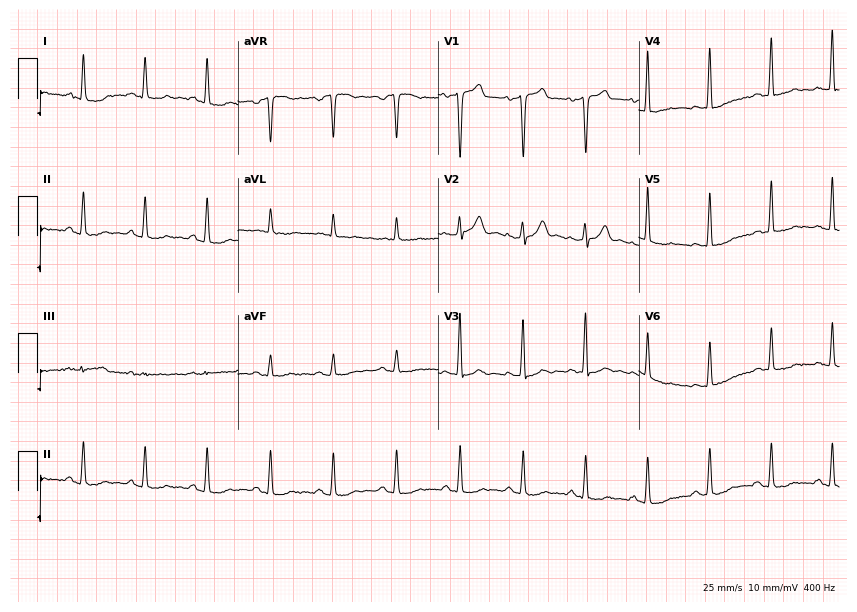
Electrocardiogram (8.2-second recording at 400 Hz), a man, 62 years old. Of the six screened findings (first-degree AV block, right bundle branch block (RBBB), left bundle branch block (LBBB), sinus bradycardia, atrial fibrillation (AF), sinus tachycardia), none is recorded.